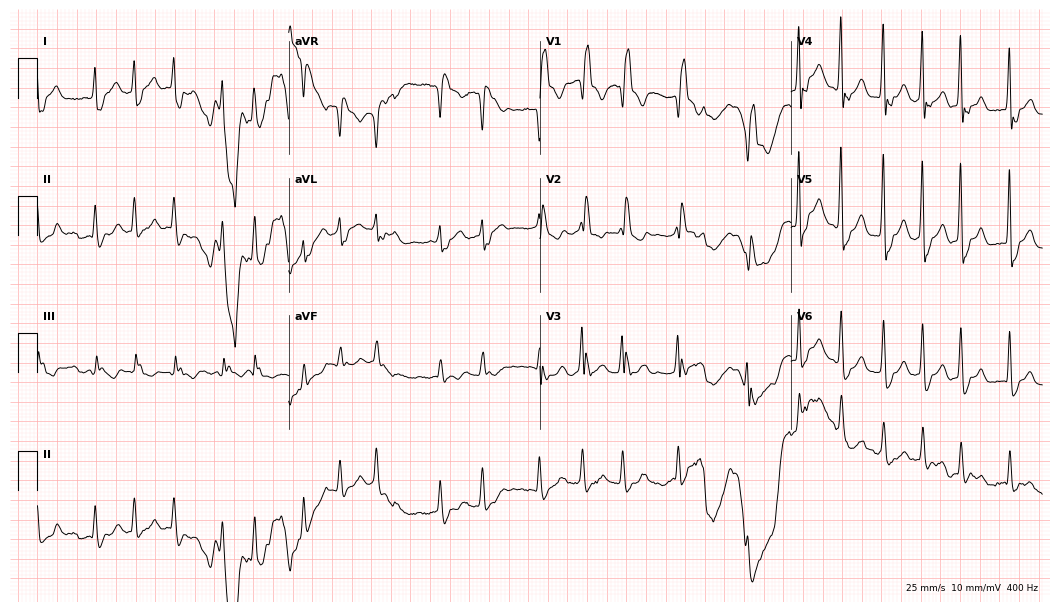
12-lead ECG from a male patient, 68 years old. Findings include right bundle branch block, atrial fibrillation.